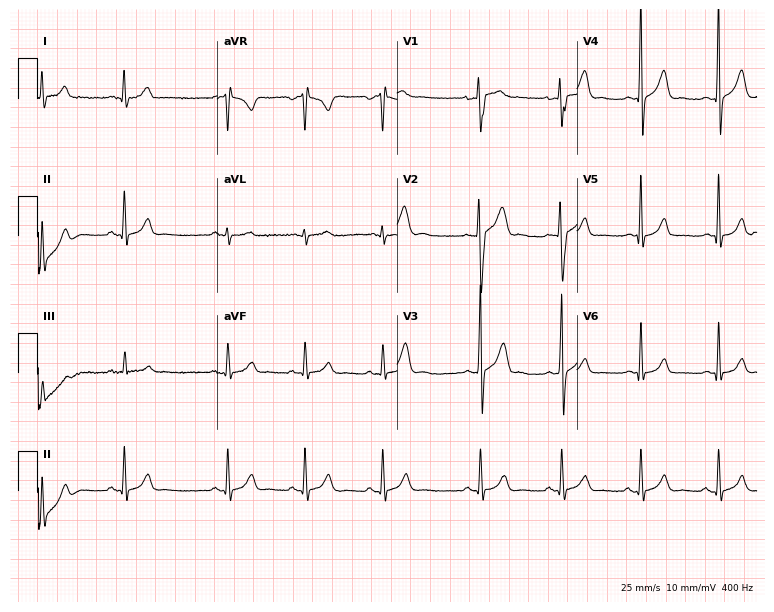
ECG (7.3-second recording at 400 Hz) — a man, 20 years old. Labelled as a normal ECG.